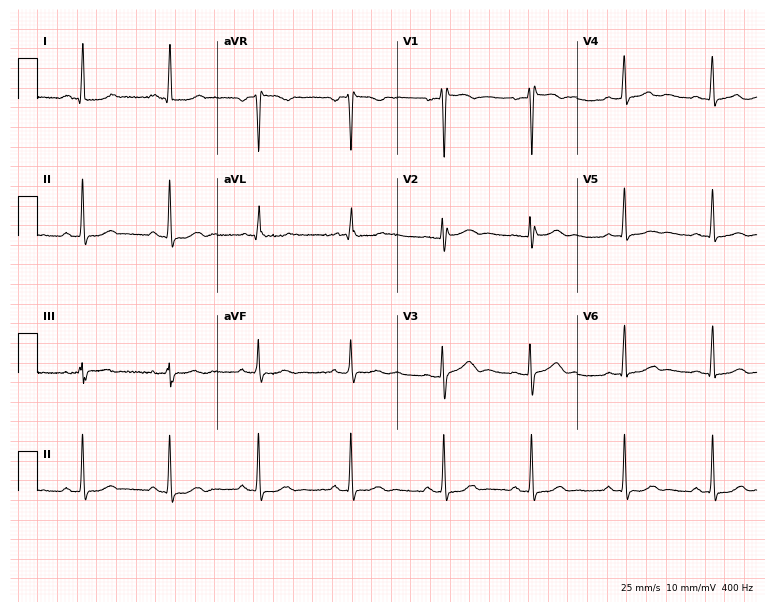
12-lead ECG from a female patient, 19 years old. No first-degree AV block, right bundle branch block (RBBB), left bundle branch block (LBBB), sinus bradycardia, atrial fibrillation (AF) or sinus tachycardia recorded for this tracing. Only these six findings were labelled.